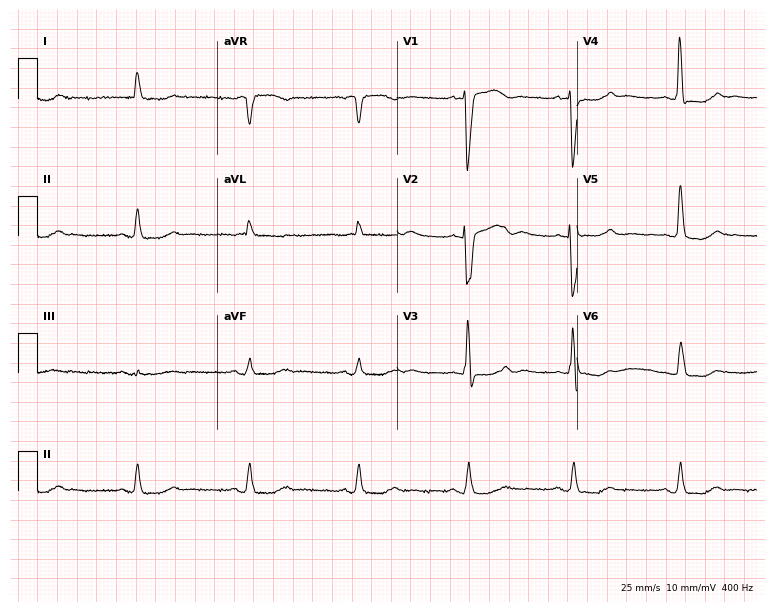
Standard 12-lead ECG recorded from a female patient, 83 years old. None of these six findings is recorded: first-degree AV block, right bundle branch block (RBBB), left bundle branch block (LBBB), sinus bradycardia, atrial fibrillation (AF), sinus tachycardia. Only these six findings were labelled.